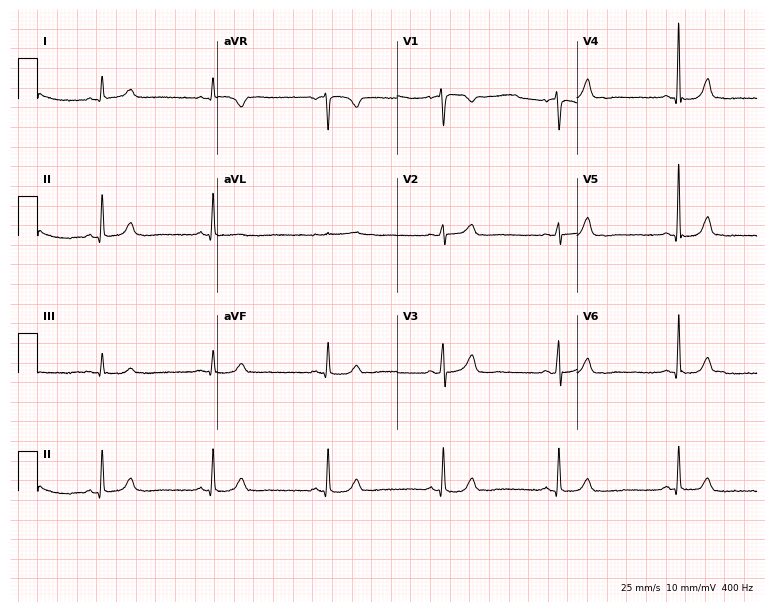
Electrocardiogram, a female patient, 58 years old. Overall reading on record: normal ECG.